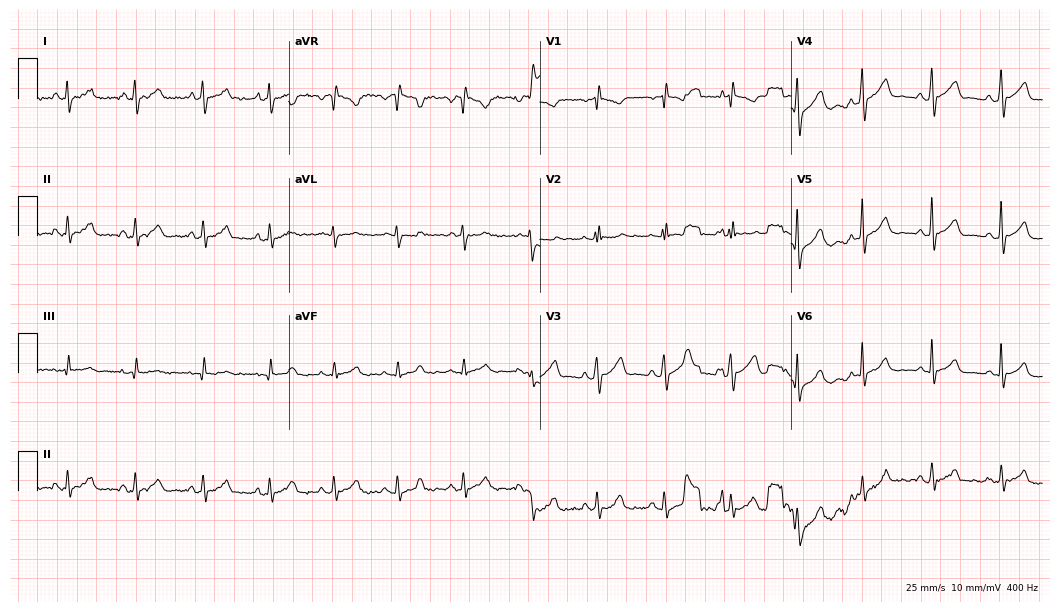
Resting 12-lead electrocardiogram (10.2-second recording at 400 Hz). Patient: a 25-year-old female. None of these six findings is recorded: first-degree AV block, right bundle branch block (RBBB), left bundle branch block (LBBB), sinus bradycardia, atrial fibrillation (AF), sinus tachycardia. Findings outside these six are not listed.